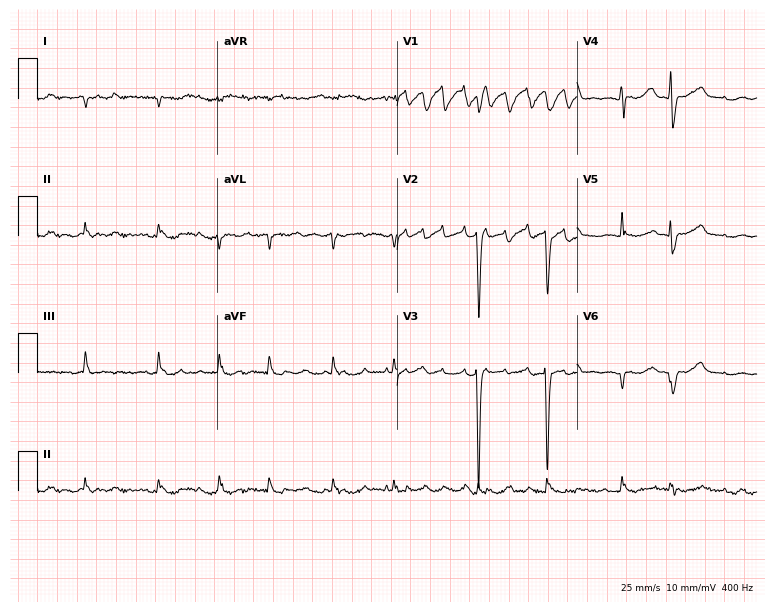
Resting 12-lead electrocardiogram (7.3-second recording at 400 Hz). Patient: a 73-year-old female. The tracing shows atrial fibrillation.